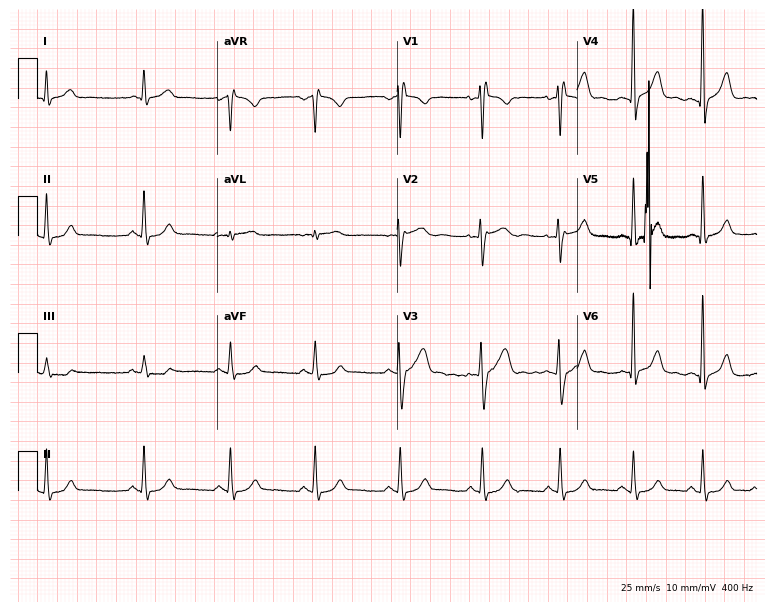
Electrocardiogram (7.3-second recording at 400 Hz), a male patient, 38 years old. Of the six screened findings (first-degree AV block, right bundle branch block (RBBB), left bundle branch block (LBBB), sinus bradycardia, atrial fibrillation (AF), sinus tachycardia), none is recorded. Findings outside these six are not listed.